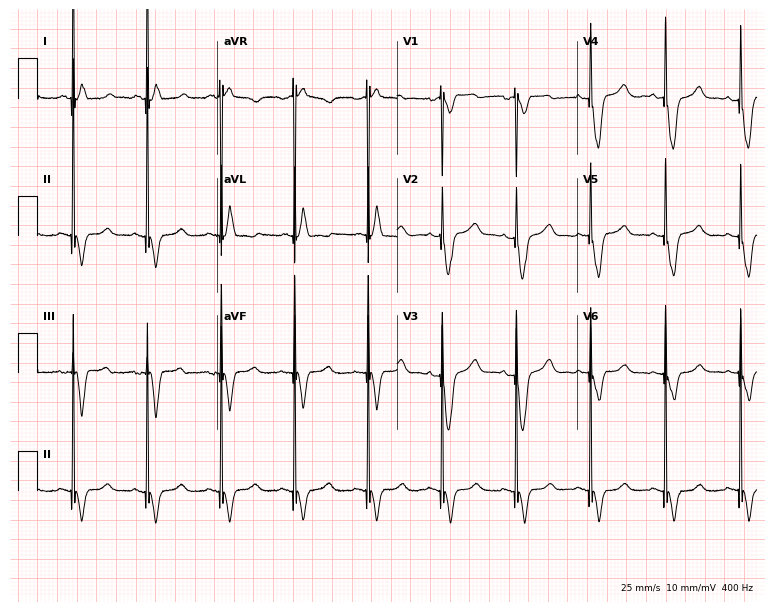
Resting 12-lead electrocardiogram. Patient: a 65-year-old woman. None of these six findings is recorded: first-degree AV block, right bundle branch block, left bundle branch block, sinus bradycardia, atrial fibrillation, sinus tachycardia.